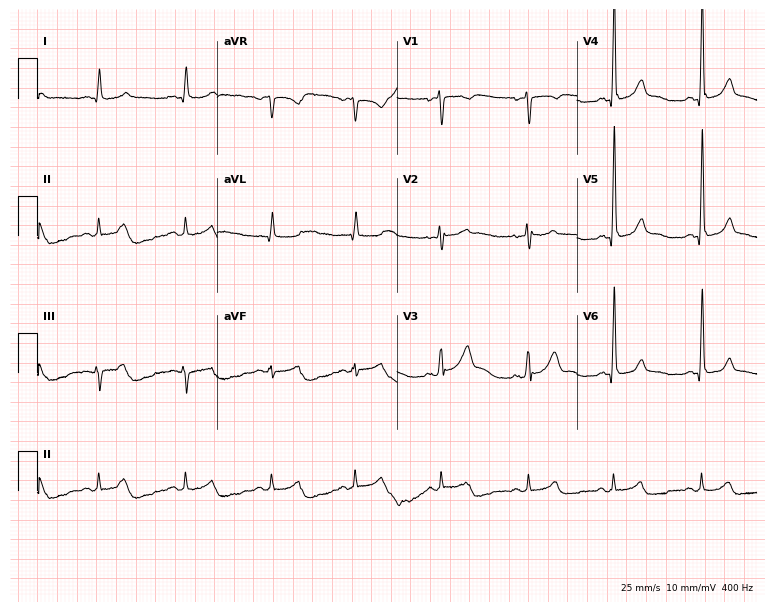
Resting 12-lead electrocardiogram (7.3-second recording at 400 Hz). Patient: a male, 57 years old. None of these six findings is recorded: first-degree AV block, right bundle branch block, left bundle branch block, sinus bradycardia, atrial fibrillation, sinus tachycardia.